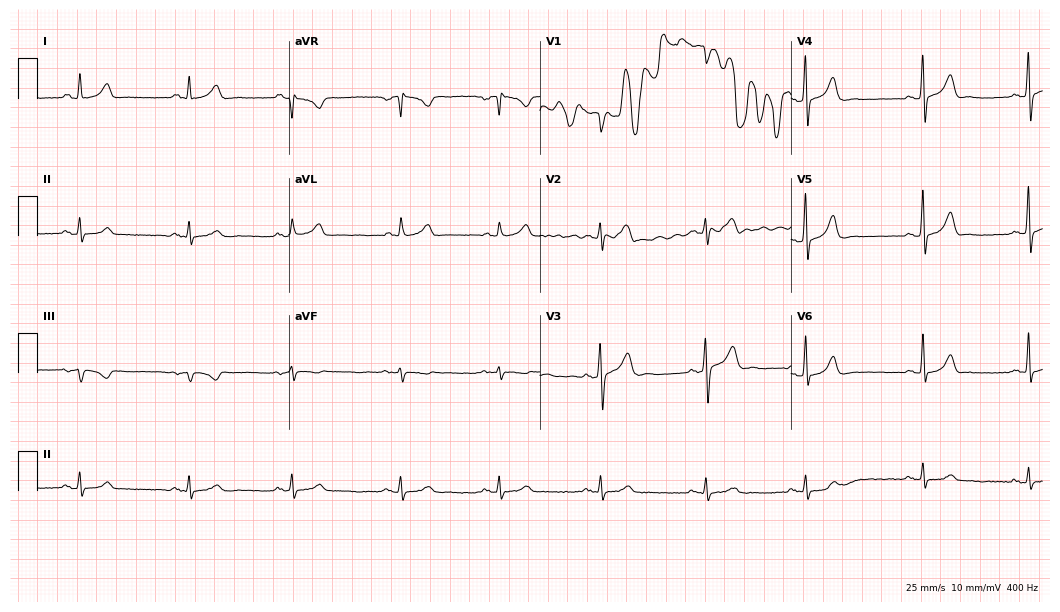
Electrocardiogram (10.2-second recording at 400 Hz), a 38-year-old male patient. Of the six screened findings (first-degree AV block, right bundle branch block (RBBB), left bundle branch block (LBBB), sinus bradycardia, atrial fibrillation (AF), sinus tachycardia), none is recorded. Other findings, if any, are not listed.